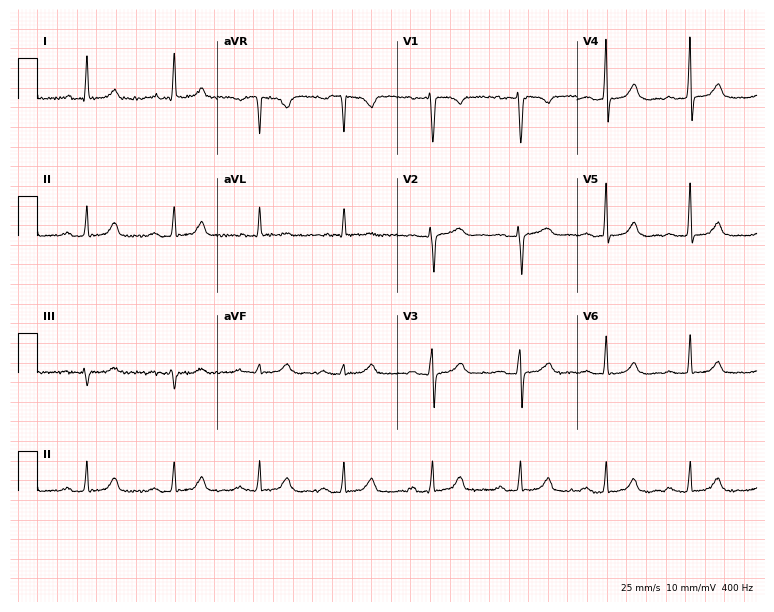
12-lead ECG from a woman, 62 years old (7.3-second recording at 400 Hz). Recorded interpretation: within normal limits.